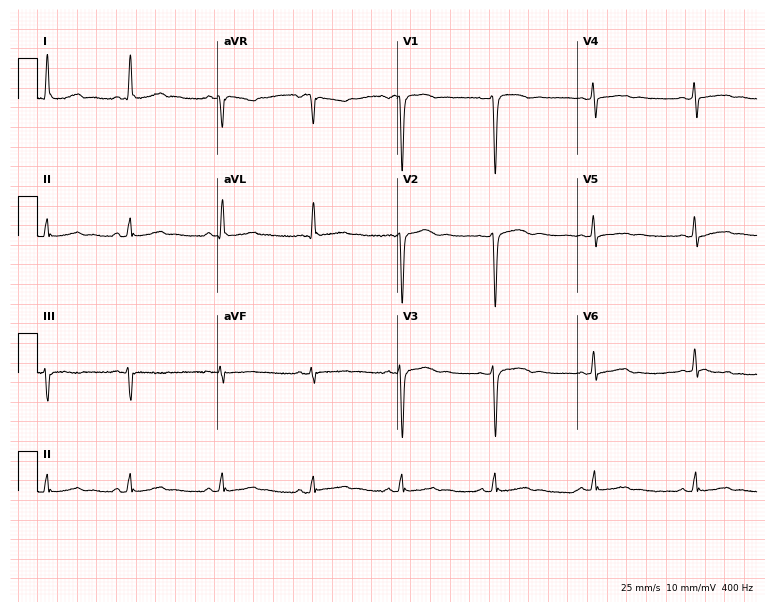
Electrocardiogram (7.3-second recording at 400 Hz), a 45-year-old female patient. Of the six screened findings (first-degree AV block, right bundle branch block (RBBB), left bundle branch block (LBBB), sinus bradycardia, atrial fibrillation (AF), sinus tachycardia), none is recorded.